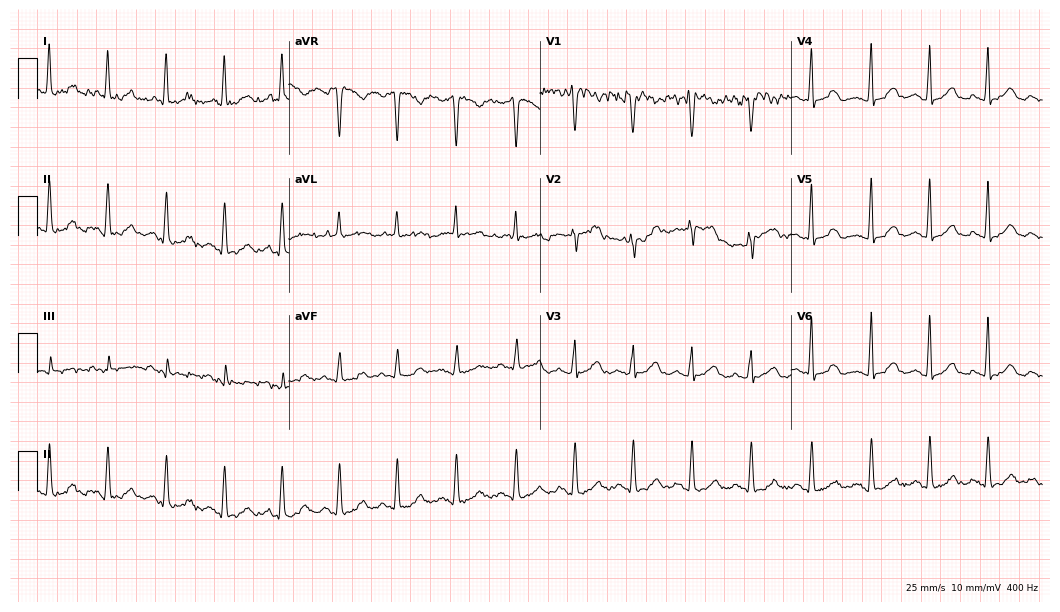
Electrocardiogram, a female patient, 52 years old. Of the six screened findings (first-degree AV block, right bundle branch block (RBBB), left bundle branch block (LBBB), sinus bradycardia, atrial fibrillation (AF), sinus tachycardia), none is recorded. Other findings, if any, are not listed.